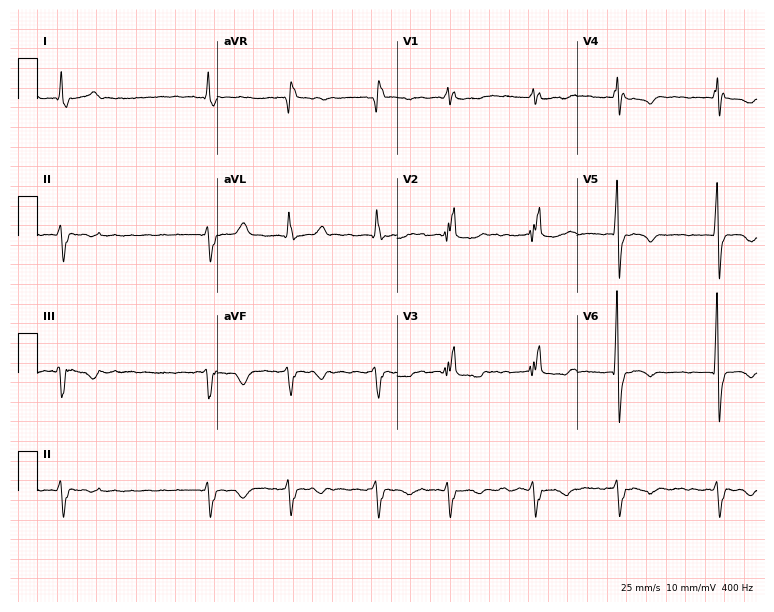
Resting 12-lead electrocardiogram. Patient: a female, 70 years old. The tracing shows right bundle branch block, atrial fibrillation.